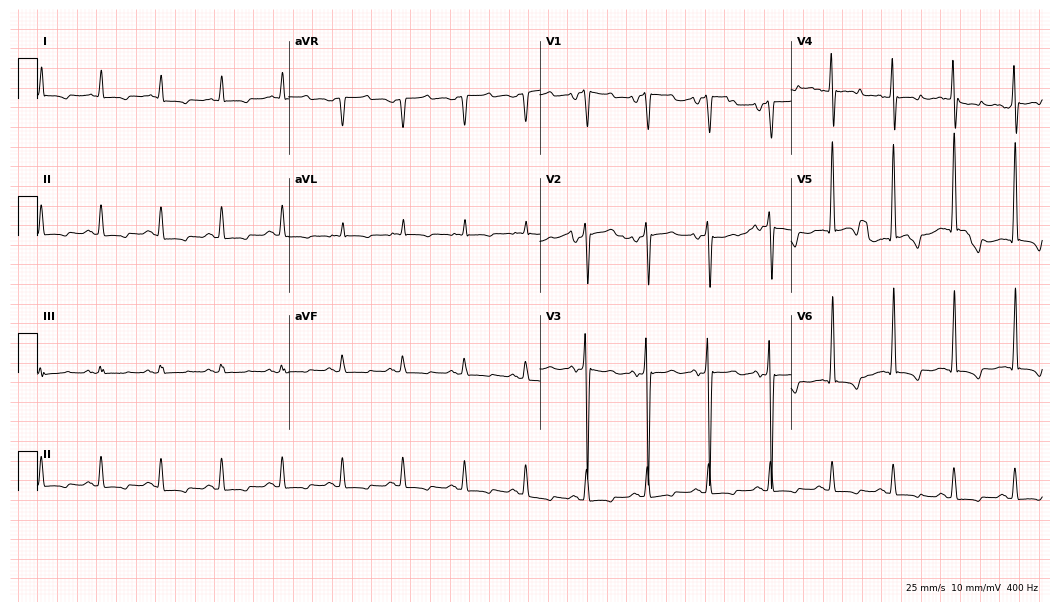
12-lead ECG from a female, 58 years old (10.2-second recording at 400 Hz). No first-degree AV block, right bundle branch block, left bundle branch block, sinus bradycardia, atrial fibrillation or sinus tachycardia recorded for this tracing. Findings outside these six are not listed.